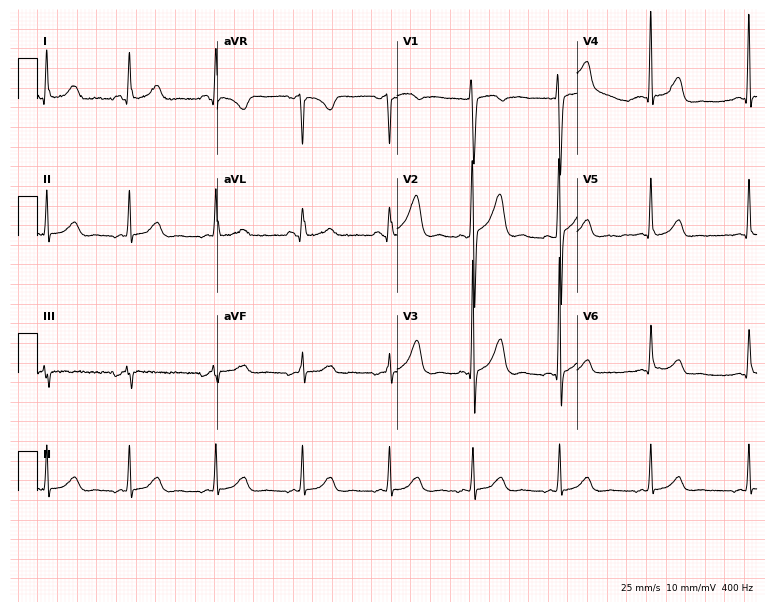
Standard 12-lead ECG recorded from a 28-year-old female patient. Read as a normal ECG.